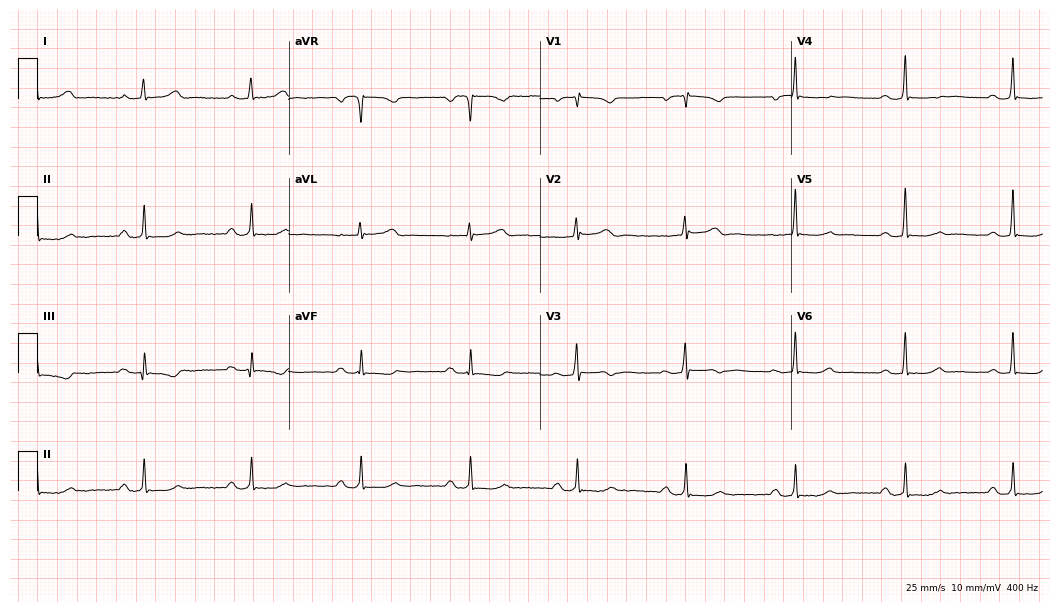
Standard 12-lead ECG recorded from a female, 67 years old. The tracing shows first-degree AV block.